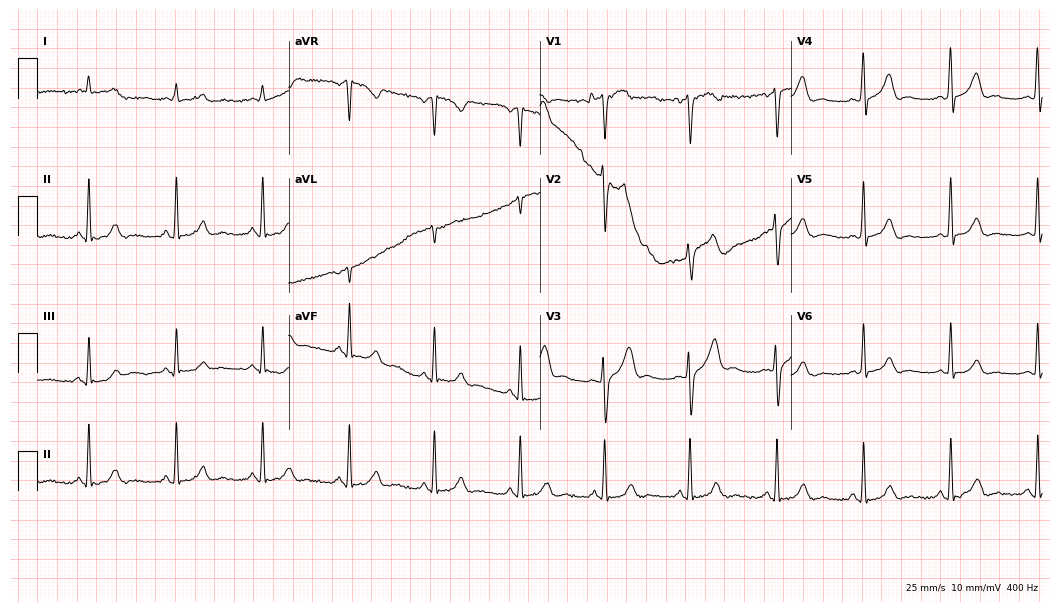
12-lead ECG from a 47-year-old male patient. Recorded interpretation: within normal limits.